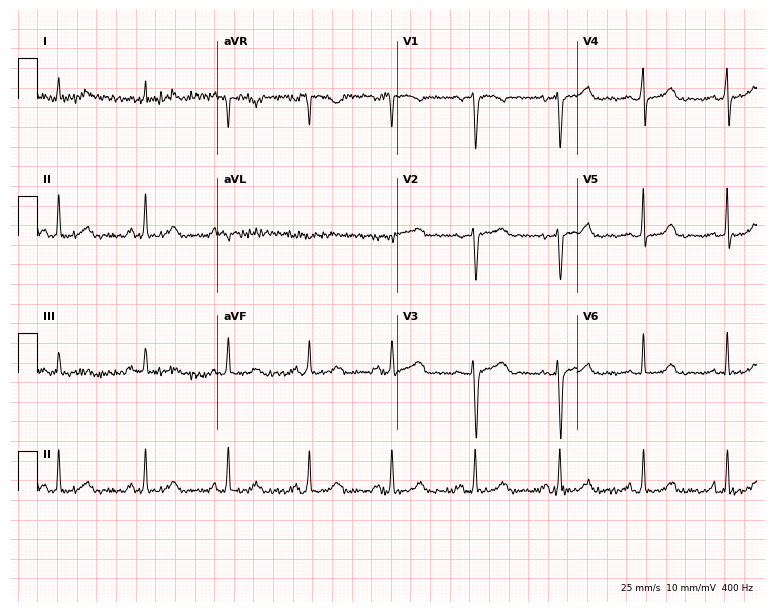
Electrocardiogram, a female, 44 years old. Of the six screened findings (first-degree AV block, right bundle branch block, left bundle branch block, sinus bradycardia, atrial fibrillation, sinus tachycardia), none is recorded. Other findings, if any, are not listed.